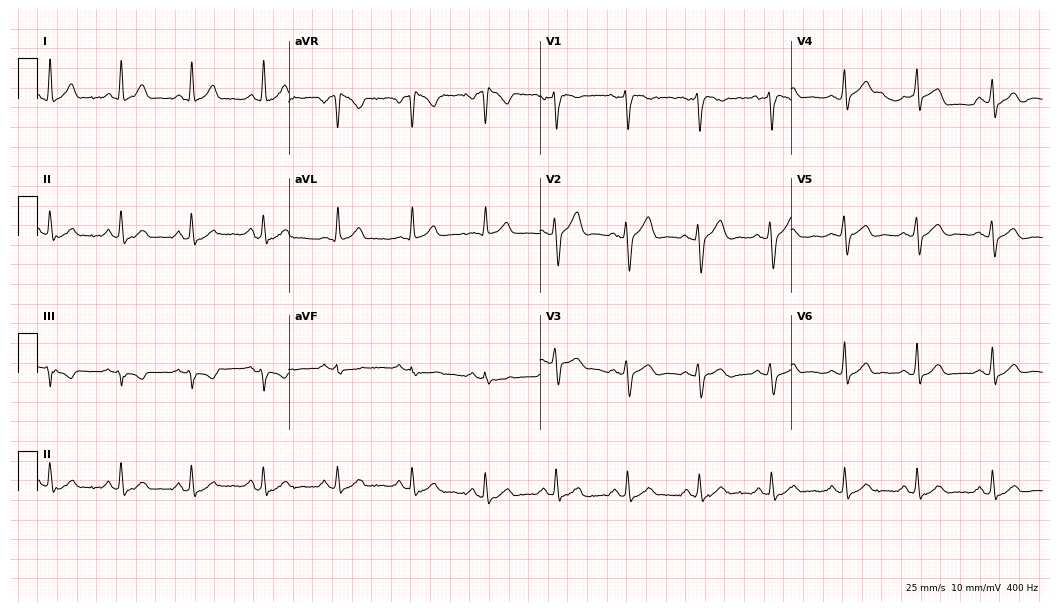
12-lead ECG (10.2-second recording at 400 Hz) from a 32-year-old man. Labelled as a normal ECG.